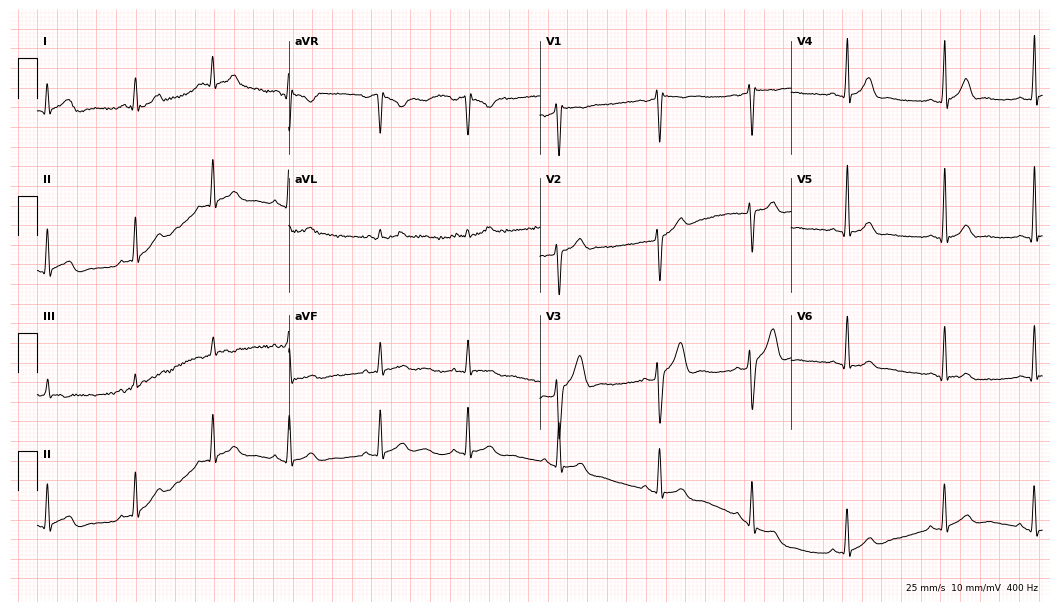
Resting 12-lead electrocardiogram (10.2-second recording at 400 Hz). Patient: a male, 25 years old. None of these six findings is recorded: first-degree AV block, right bundle branch block, left bundle branch block, sinus bradycardia, atrial fibrillation, sinus tachycardia.